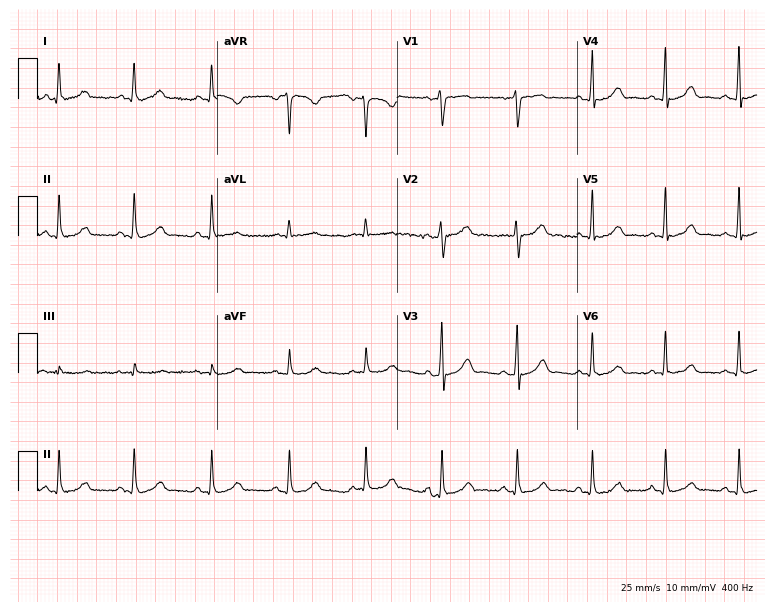
ECG (7.3-second recording at 400 Hz) — a female patient, 38 years old. Labelled as a normal ECG.